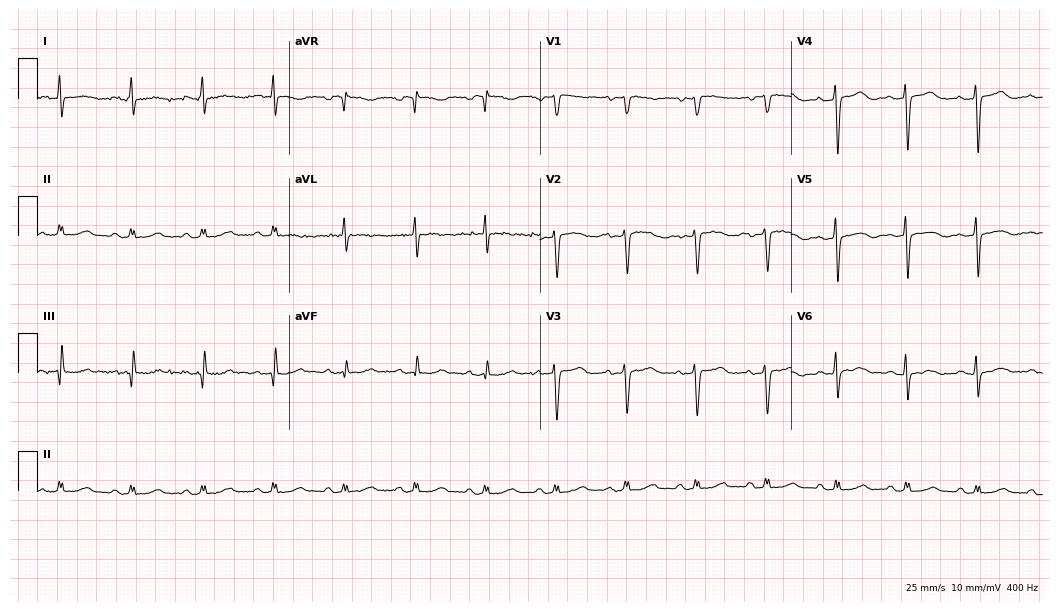
Electrocardiogram, an 83-year-old male. Of the six screened findings (first-degree AV block, right bundle branch block, left bundle branch block, sinus bradycardia, atrial fibrillation, sinus tachycardia), none is recorded.